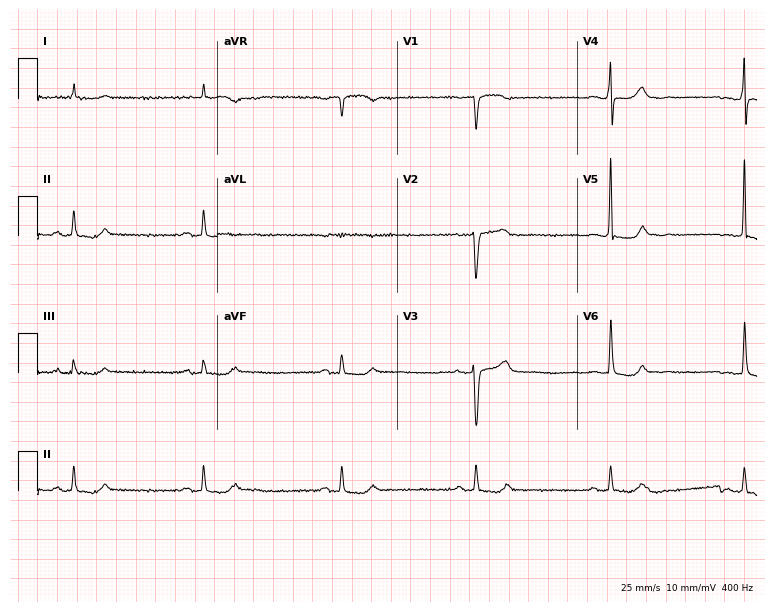
ECG — an 83-year-old female. Findings include sinus bradycardia (a sinus rate of 50 beats per minute or less).